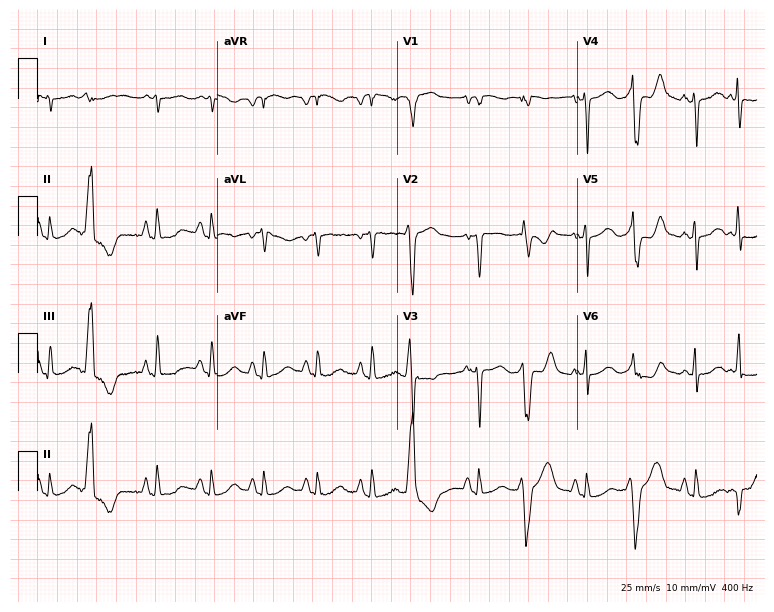
Standard 12-lead ECG recorded from a woman, 73 years old (7.3-second recording at 400 Hz). The tracing shows sinus tachycardia (a sinus rate of 100 beats per minute or more).